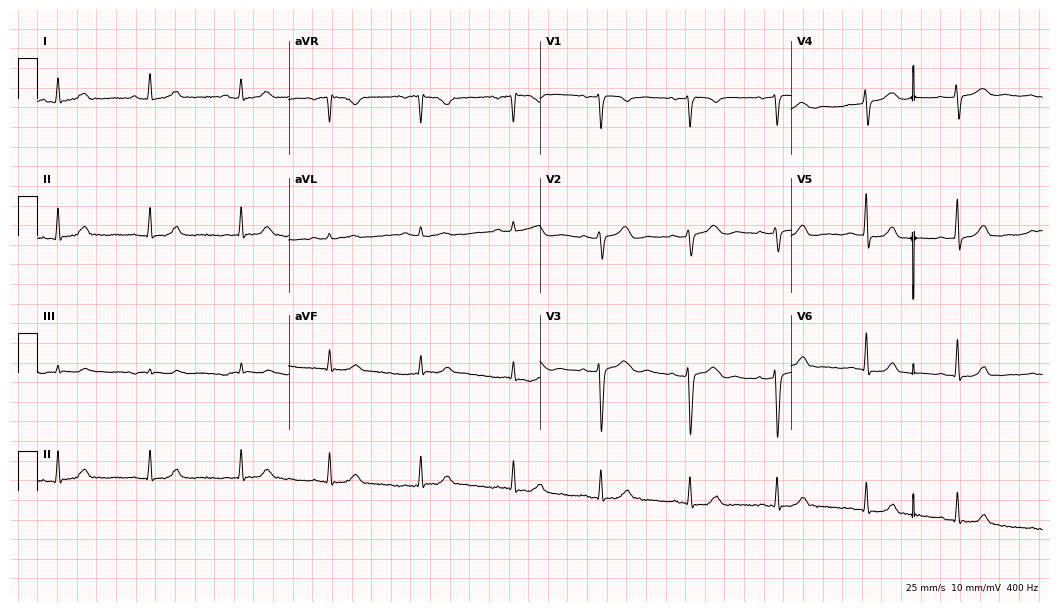
ECG — a 52-year-old female. Labelled as a normal ECG.